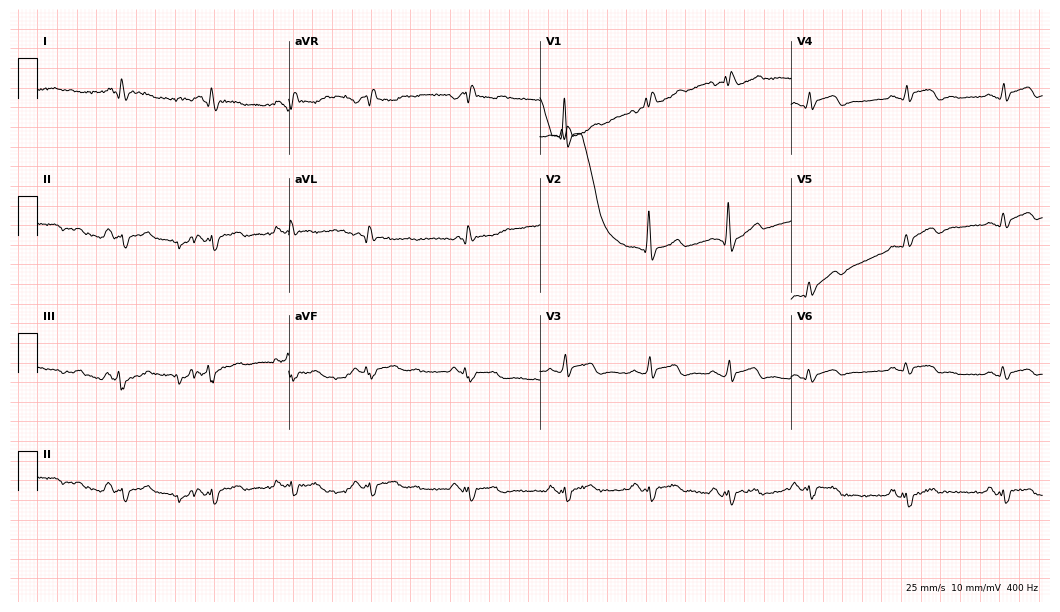
Standard 12-lead ECG recorded from a 77-year-old woman. None of these six findings is recorded: first-degree AV block, right bundle branch block (RBBB), left bundle branch block (LBBB), sinus bradycardia, atrial fibrillation (AF), sinus tachycardia.